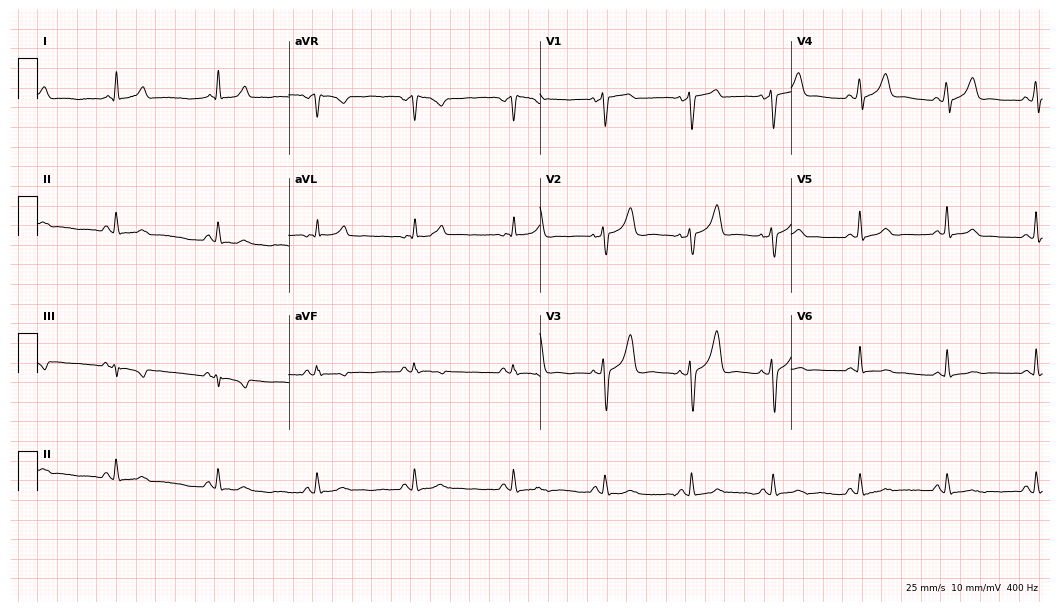
Electrocardiogram, a 71-year-old male. Overall reading on record: normal ECG.